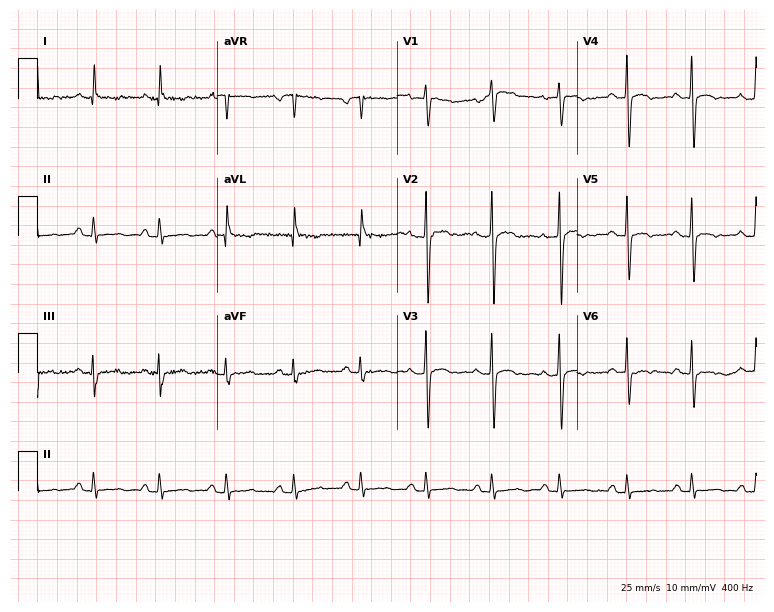
Resting 12-lead electrocardiogram (7.3-second recording at 400 Hz). Patient: a 46-year-old male. None of these six findings is recorded: first-degree AV block, right bundle branch block (RBBB), left bundle branch block (LBBB), sinus bradycardia, atrial fibrillation (AF), sinus tachycardia.